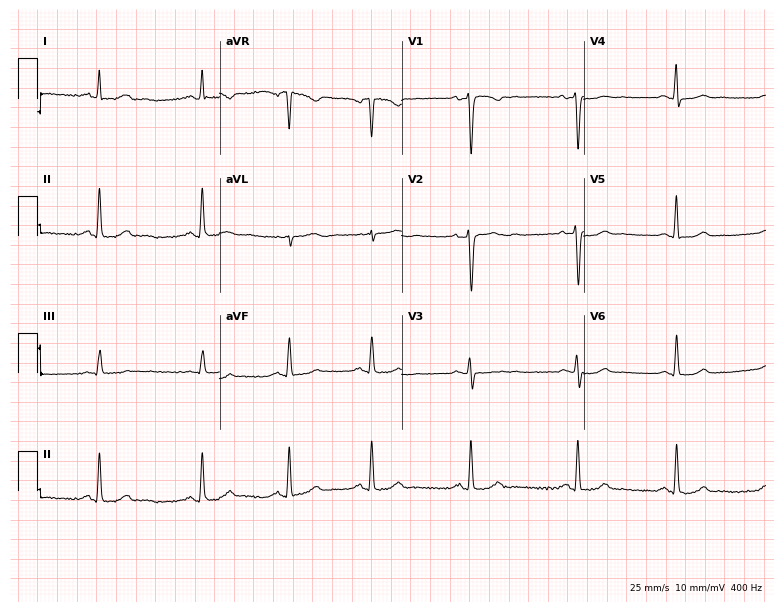
12-lead ECG from a 38-year-old female patient. Screened for six findings — first-degree AV block, right bundle branch block (RBBB), left bundle branch block (LBBB), sinus bradycardia, atrial fibrillation (AF), sinus tachycardia — none is recorded.